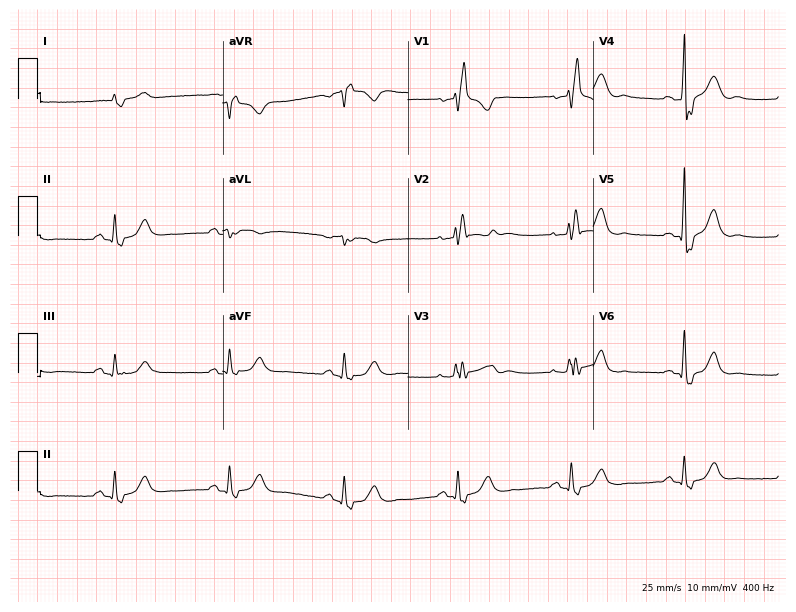
12-lead ECG (7.6-second recording at 400 Hz) from an 83-year-old man. Findings include right bundle branch block.